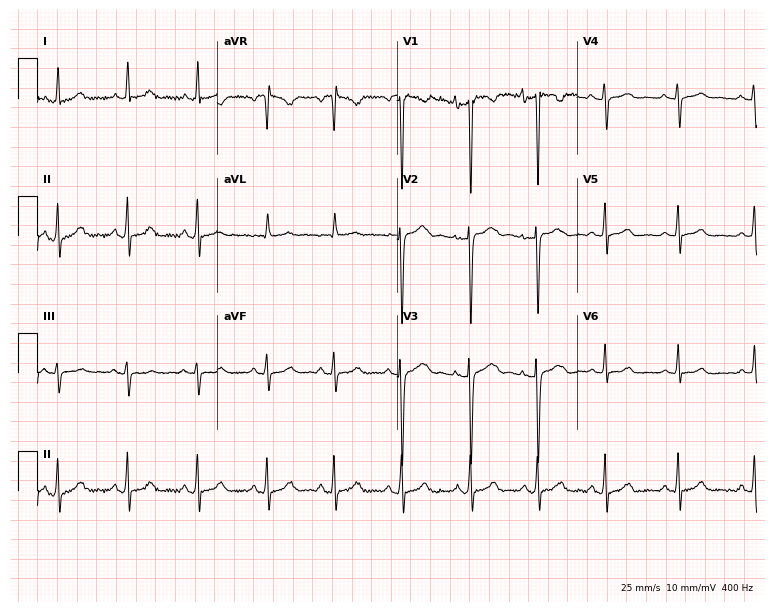
12-lead ECG from a 17-year-old female. No first-degree AV block, right bundle branch block, left bundle branch block, sinus bradycardia, atrial fibrillation or sinus tachycardia recorded for this tracing. Other findings, if any, are not listed.